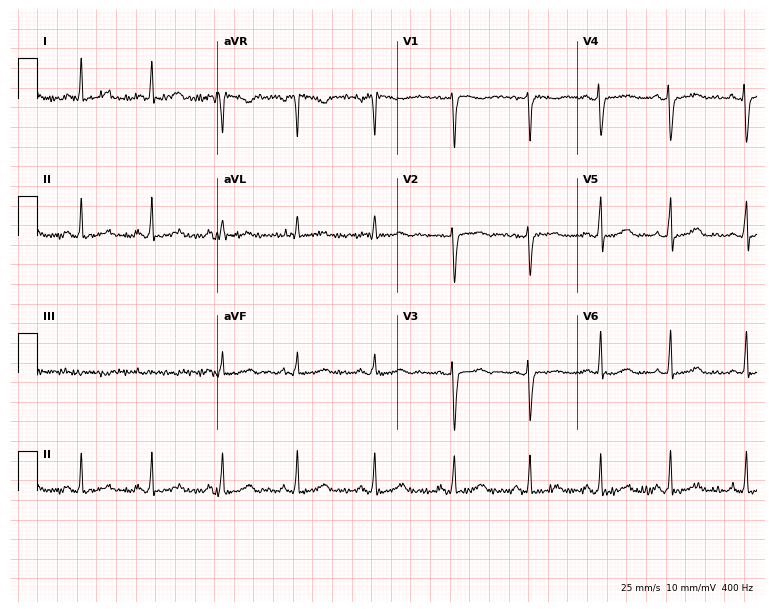
12-lead ECG from a 43-year-old woman. Labelled as a normal ECG.